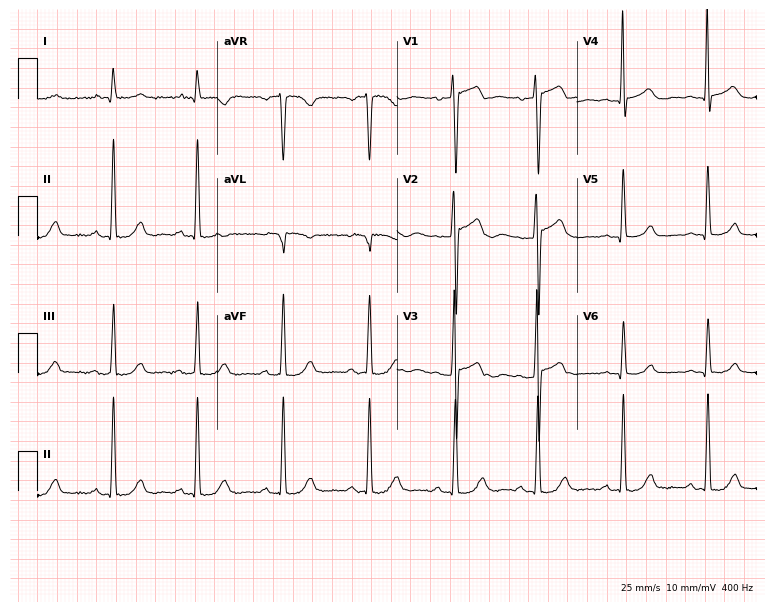
Standard 12-lead ECG recorded from a man, 53 years old (7.3-second recording at 400 Hz). None of these six findings is recorded: first-degree AV block, right bundle branch block (RBBB), left bundle branch block (LBBB), sinus bradycardia, atrial fibrillation (AF), sinus tachycardia.